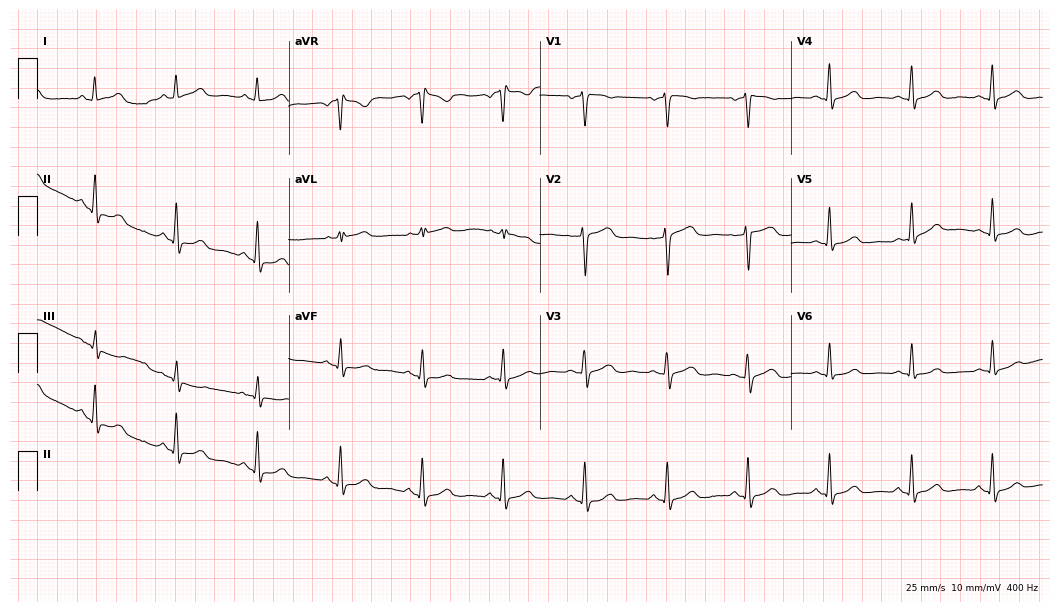
ECG — a female, 51 years old. Labelled as a normal ECG.